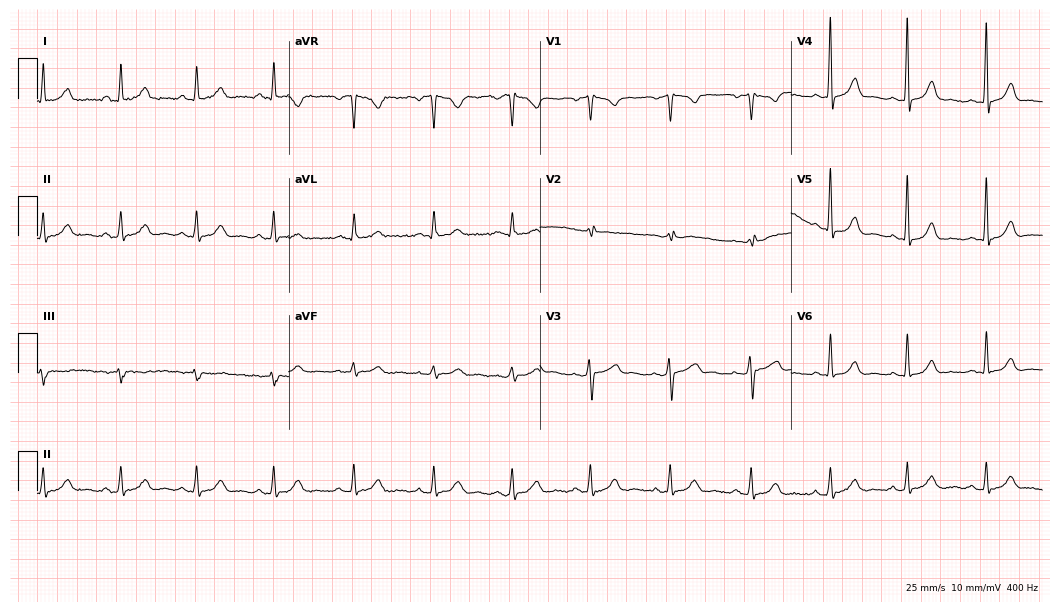
12-lead ECG from a female patient, 47 years old (10.2-second recording at 400 Hz). No first-degree AV block, right bundle branch block (RBBB), left bundle branch block (LBBB), sinus bradycardia, atrial fibrillation (AF) or sinus tachycardia recorded for this tracing.